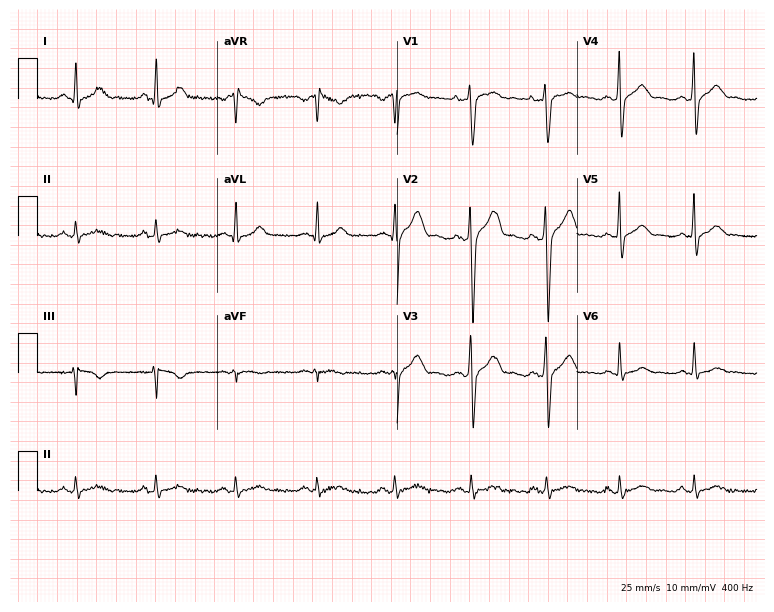
Standard 12-lead ECG recorded from a 26-year-old man (7.3-second recording at 400 Hz). None of these six findings is recorded: first-degree AV block, right bundle branch block (RBBB), left bundle branch block (LBBB), sinus bradycardia, atrial fibrillation (AF), sinus tachycardia. Only these six findings were labelled.